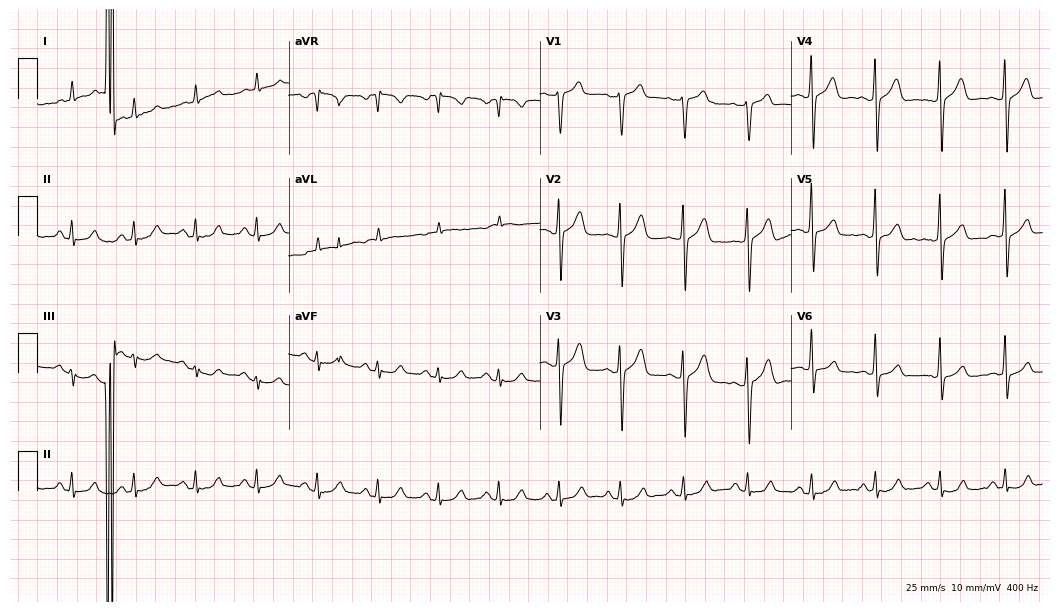
Electrocardiogram (10.2-second recording at 400 Hz), a 49-year-old male. Of the six screened findings (first-degree AV block, right bundle branch block, left bundle branch block, sinus bradycardia, atrial fibrillation, sinus tachycardia), none is recorded. Findings outside these six are not listed.